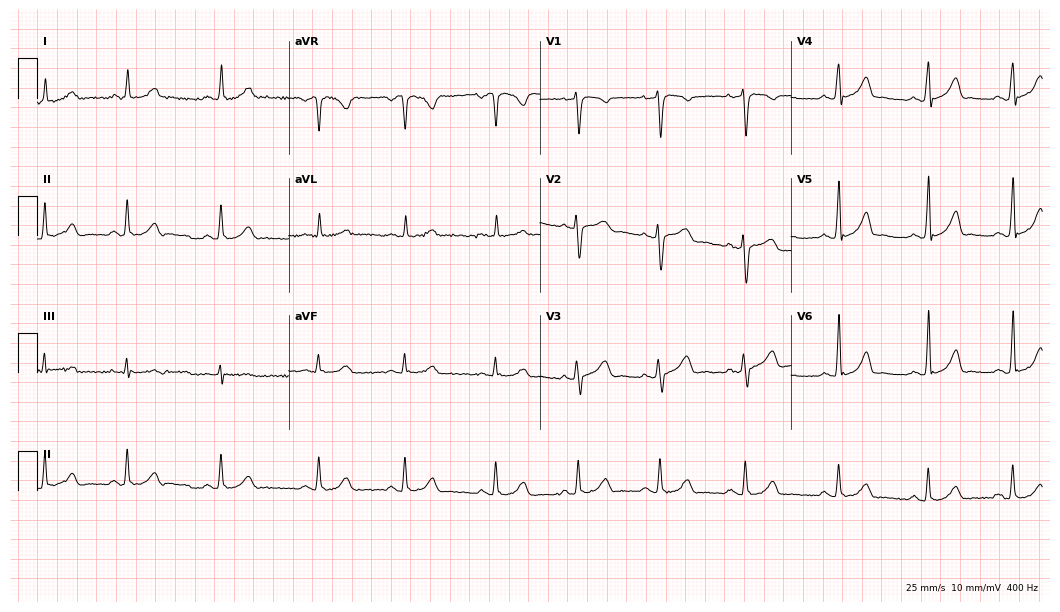
ECG — a 27-year-old female patient. Labelled as a normal ECG.